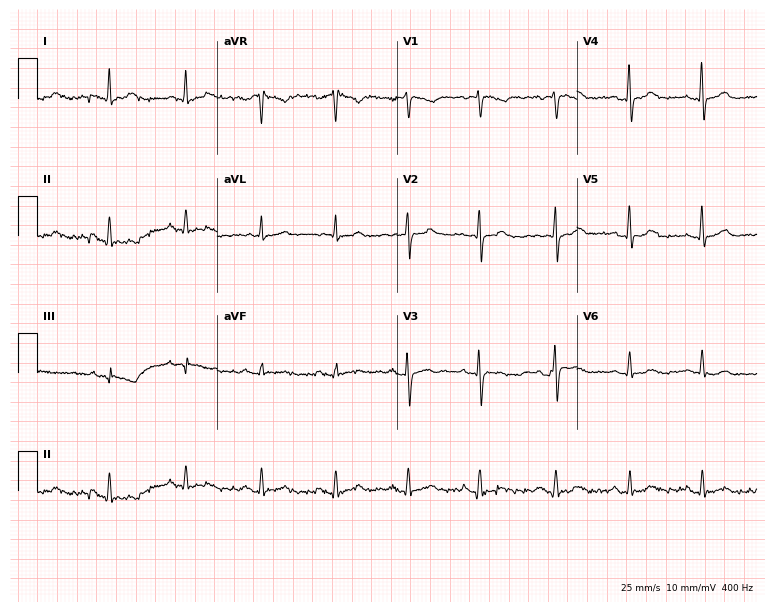
12-lead ECG from a 58-year-old woman. Recorded interpretation: within normal limits.